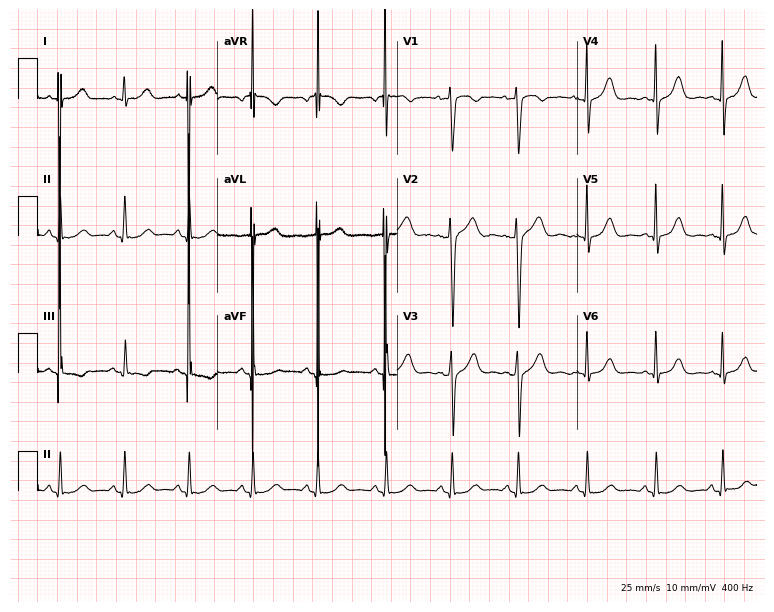
Electrocardiogram (7.3-second recording at 400 Hz), a female, 34 years old. Of the six screened findings (first-degree AV block, right bundle branch block (RBBB), left bundle branch block (LBBB), sinus bradycardia, atrial fibrillation (AF), sinus tachycardia), none is recorded. Only these six findings were labelled.